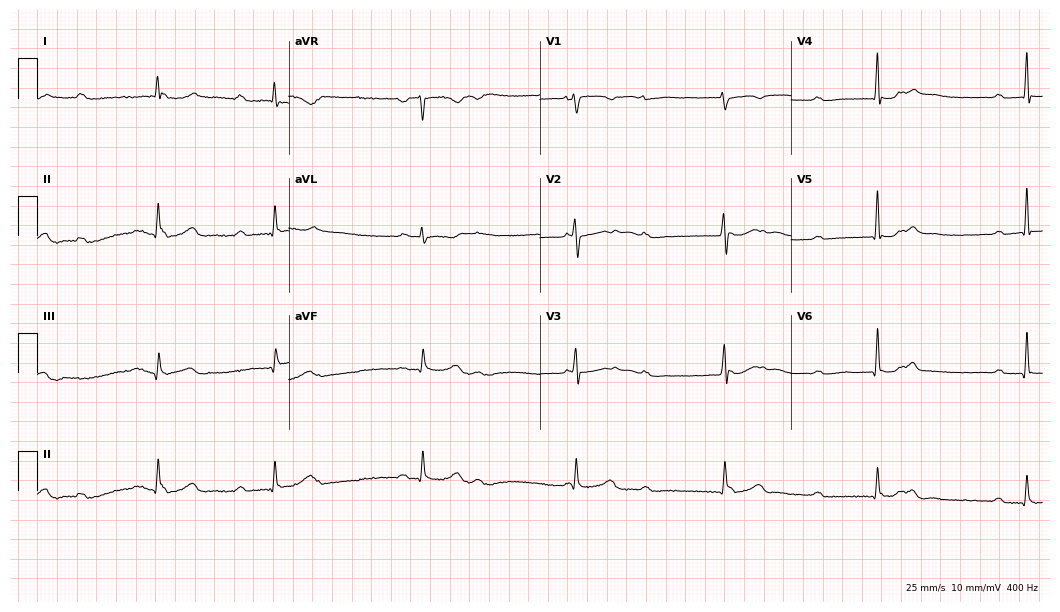
12-lead ECG (10.2-second recording at 400 Hz) from a female patient, 20 years old. Findings include first-degree AV block.